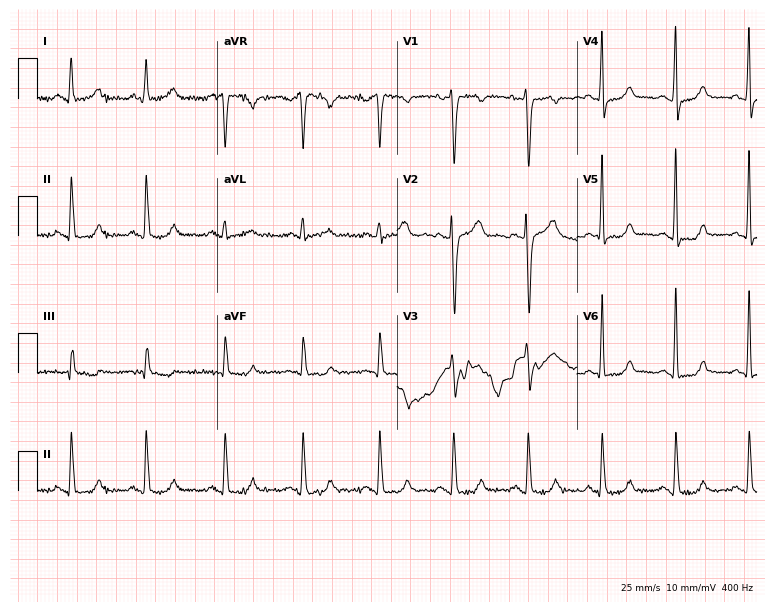
ECG (7.3-second recording at 400 Hz) — a female, 48 years old. Screened for six findings — first-degree AV block, right bundle branch block, left bundle branch block, sinus bradycardia, atrial fibrillation, sinus tachycardia — none is recorded.